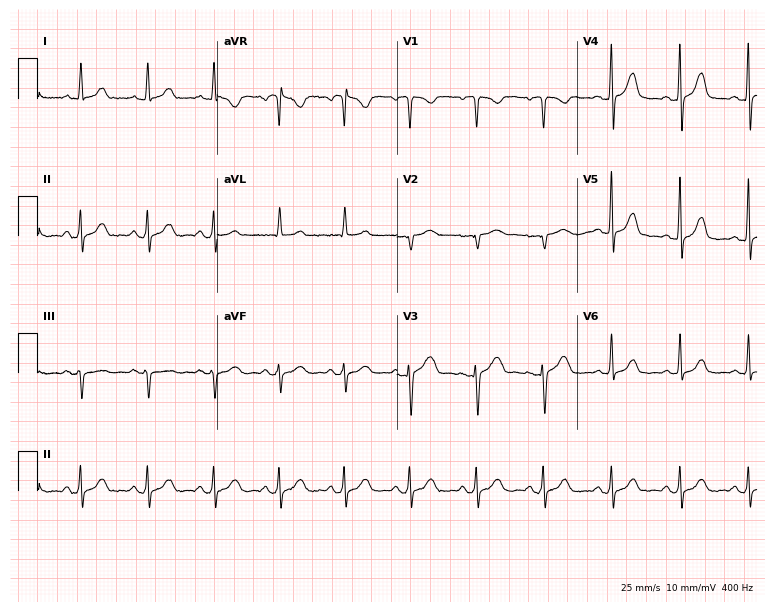
12-lead ECG (7.3-second recording at 400 Hz) from a female, 35 years old. Labelled as a normal ECG.